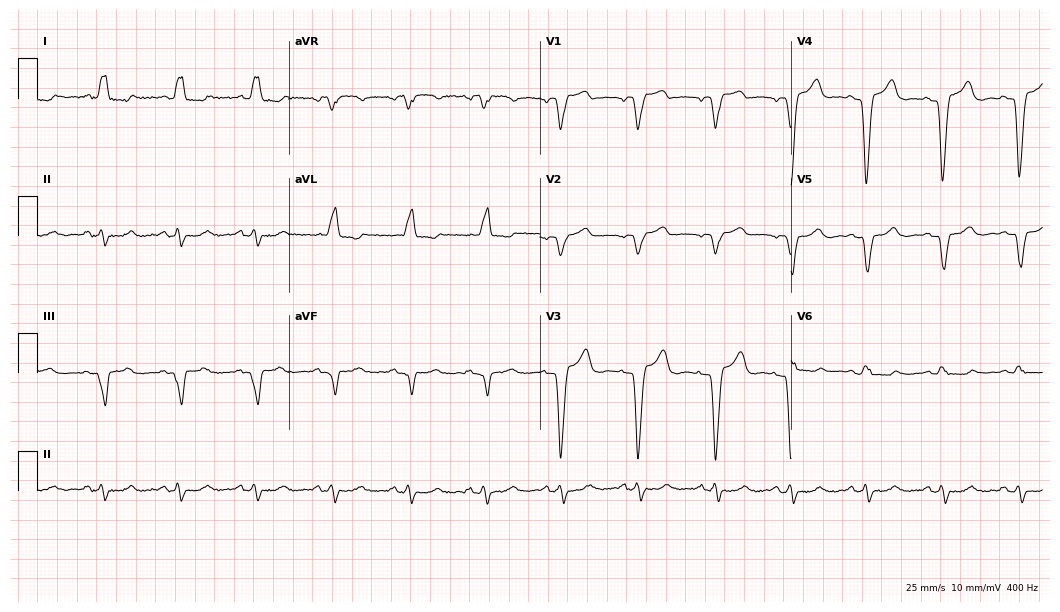
Resting 12-lead electrocardiogram (10.2-second recording at 400 Hz). Patient: a 59-year-old female. The tracing shows left bundle branch block.